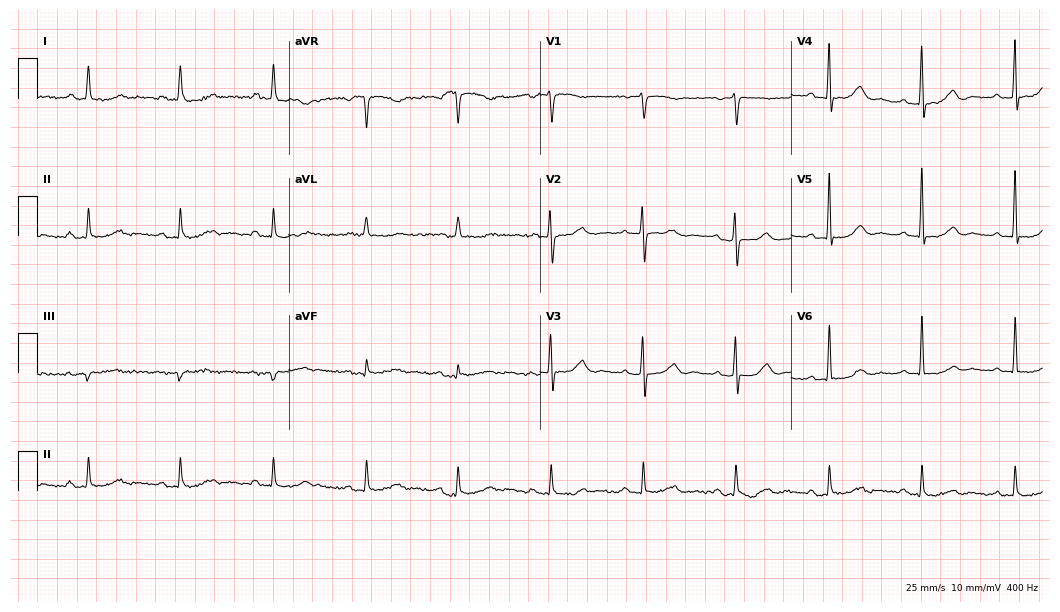
12-lead ECG from a woman, 78 years old. Findings include first-degree AV block.